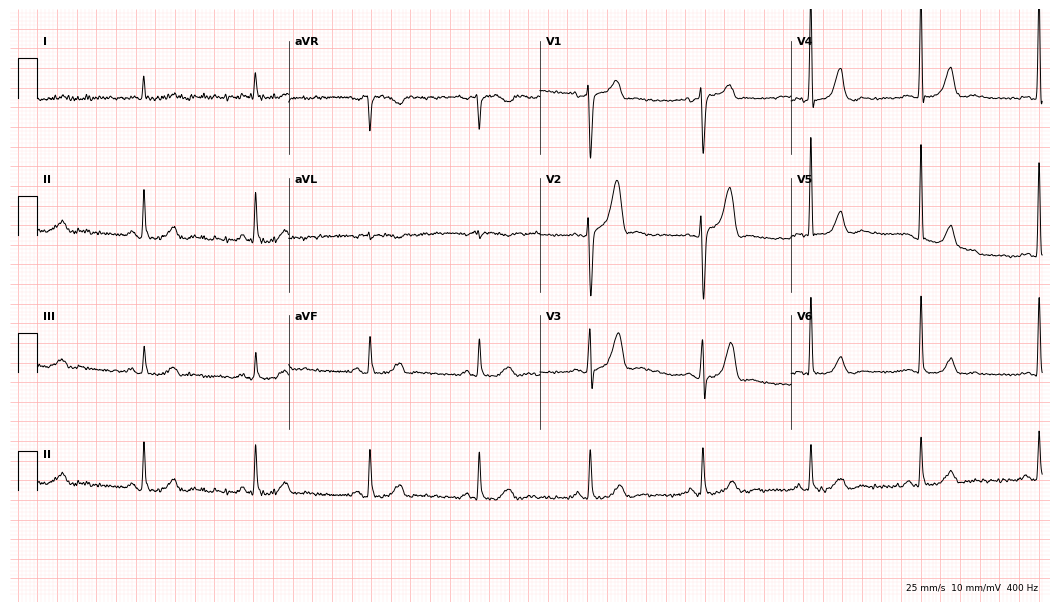
Standard 12-lead ECG recorded from a male, 84 years old (10.2-second recording at 400 Hz). Read as a normal ECG.